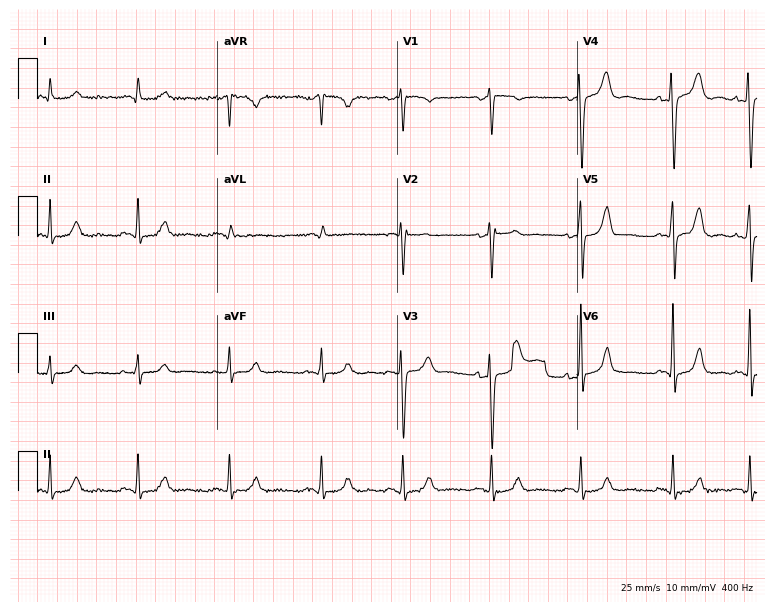
12-lead ECG from a 77-year-old male. Labelled as a normal ECG.